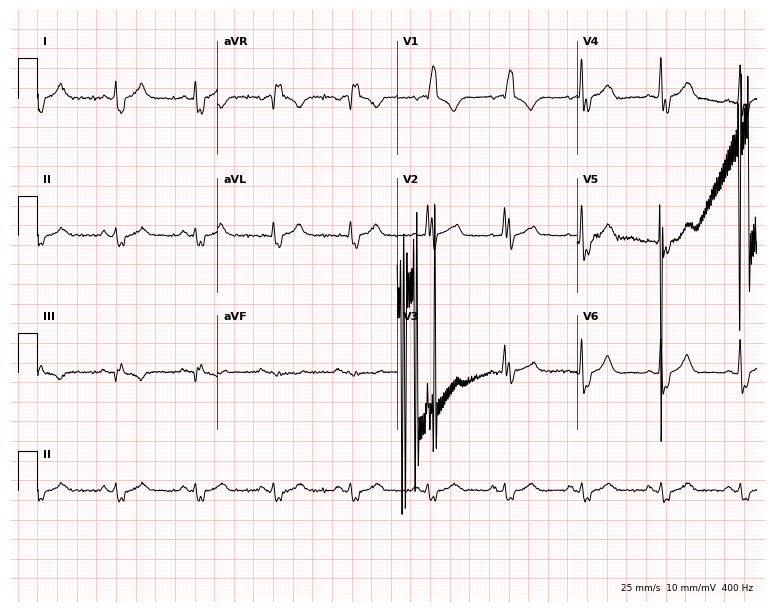
Standard 12-lead ECG recorded from a male, 83 years old. The tracing shows atrial fibrillation.